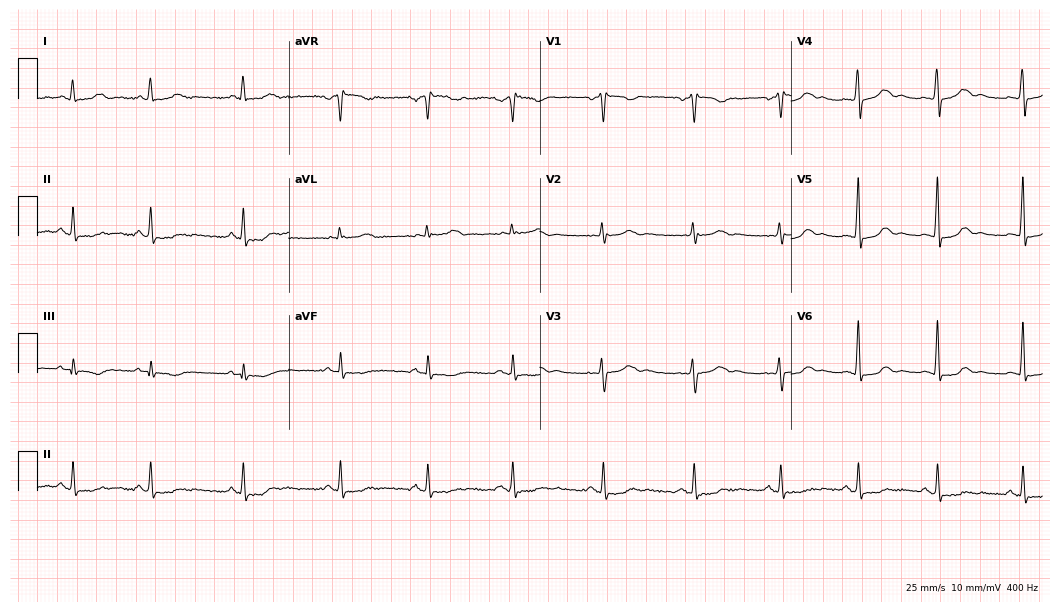
Standard 12-lead ECG recorded from a 27-year-old female patient (10.2-second recording at 400 Hz). None of these six findings is recorded: first-degree AV block, right bundle branch block (RBBB), left bundle branch block (LBBB), sinus bradycardia, atrial fibrillation (AF), sinus tachycardia. Findings outside these six are not listed.